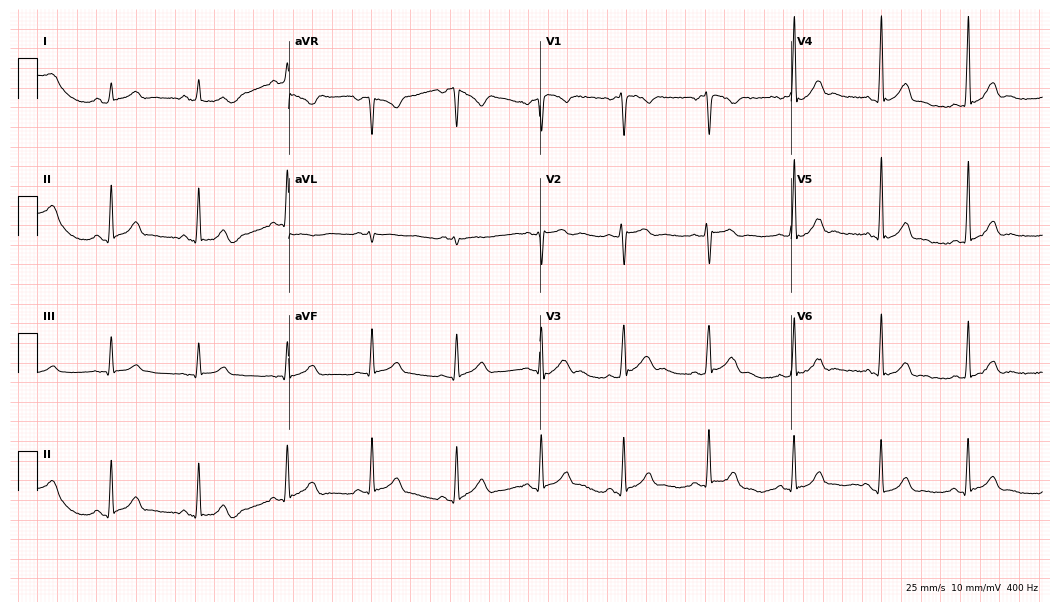
12-lead ECG from a 20-year-old male patient. No first-degree AV block, right bundle branch block, left bundle branch block, sinus bradycardia, atrial fibrillation or sinus tachycardia recorded for this tracing.